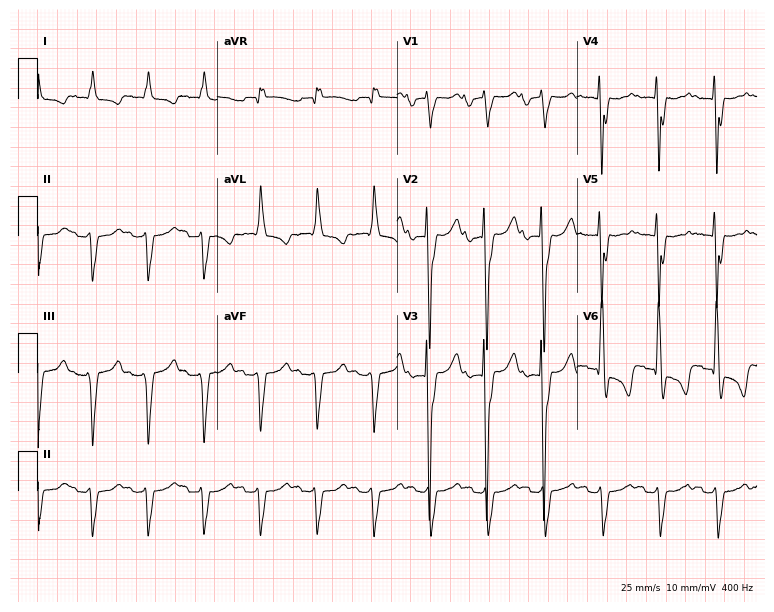
Electrocardiogram (7.3-second recording at 400 Hz), a 50-year-old female patient. Interpretation includes left bundle branch block (LBBB).